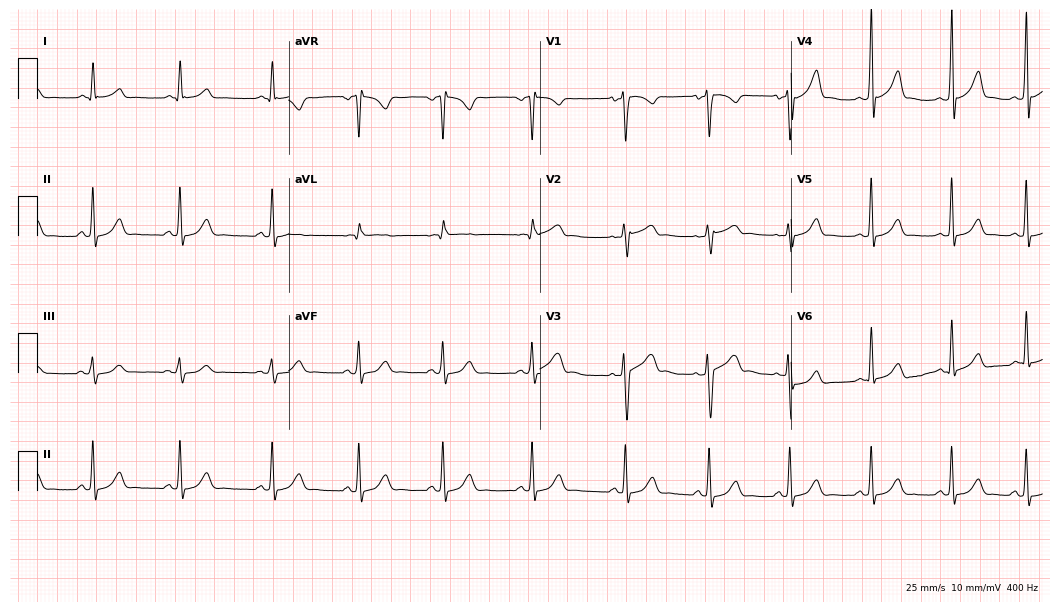
ECG — a male, 34 years old. Screened for six findings — first-degree AV block, right bundle branch block, left bundle branch block, sinus bradycardia, atrial fibrillation, sinus tachycardia — none is recorded. Other findings, if any, are not listed.